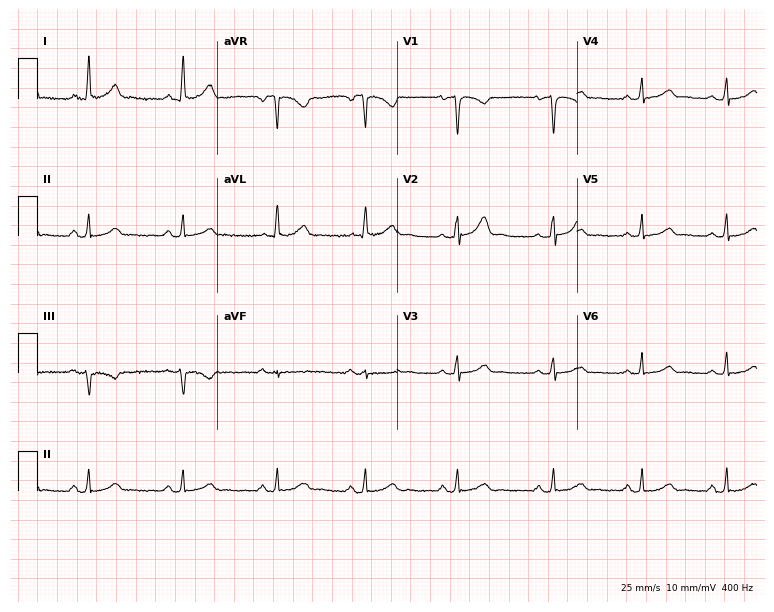
Resting 12-lead electrocardiogram. Patient: a female, 41 years old. Read as a normal ECG.